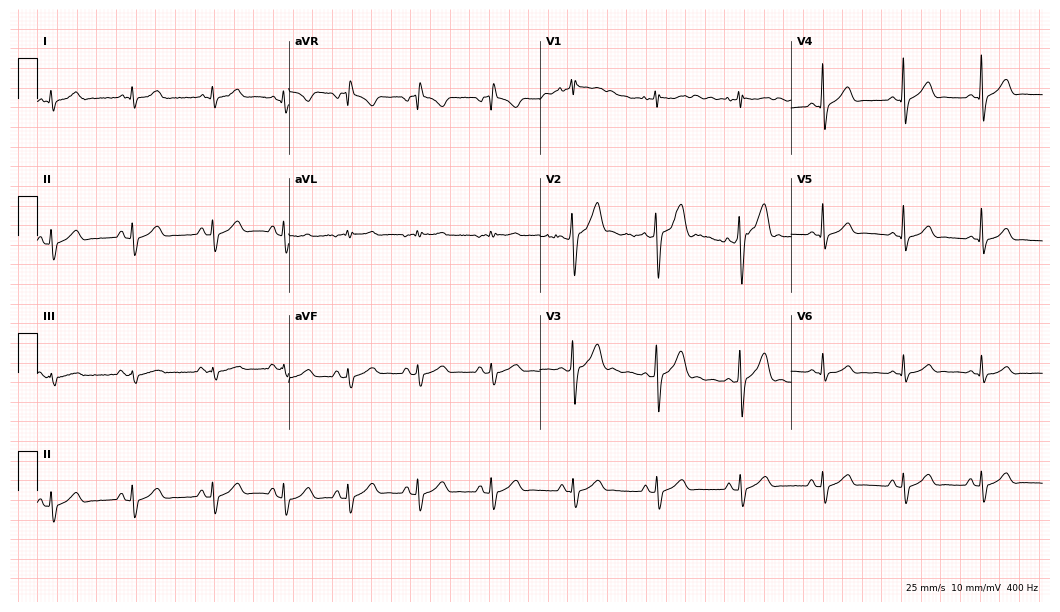
Standard 12-lead ECG recorded from a 36-year-old male. None of these six findings is recorded: first-degree AV block, right bundle branch block, left bundle branch block, sinus bradycardia, atrial fibrillation, sinus tachycardia.